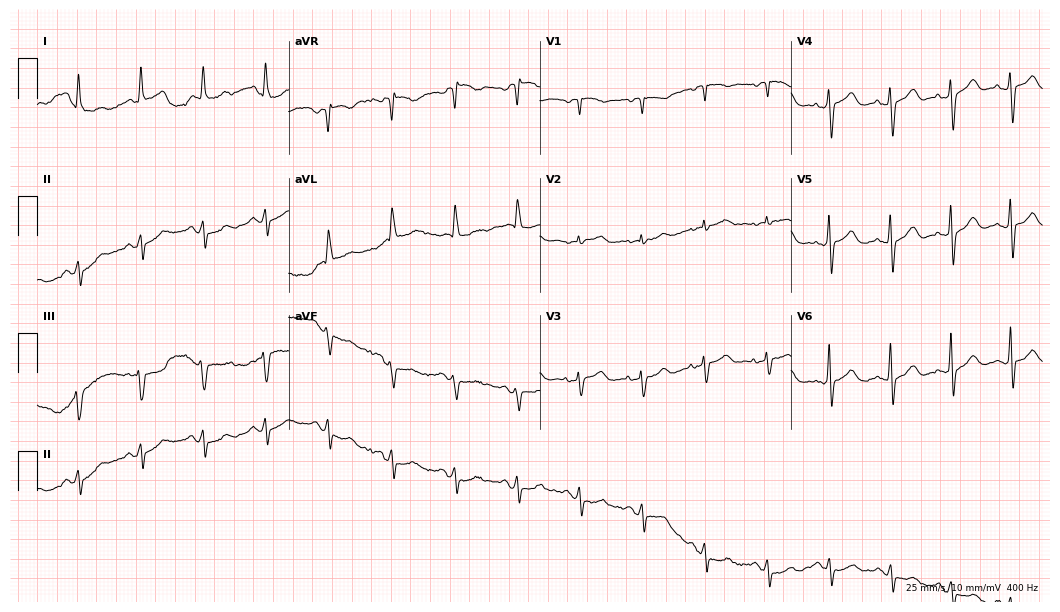
Resting 12-lead electrocardiogram. Patient: a 76-year-old female. None of these six findings is recorded: first-degree AV block, right bundle branch block (RBBB), left bundle branch block (LBBB), sinus bradycardia, atrial fibrillation (AF), sinus tachycardia.